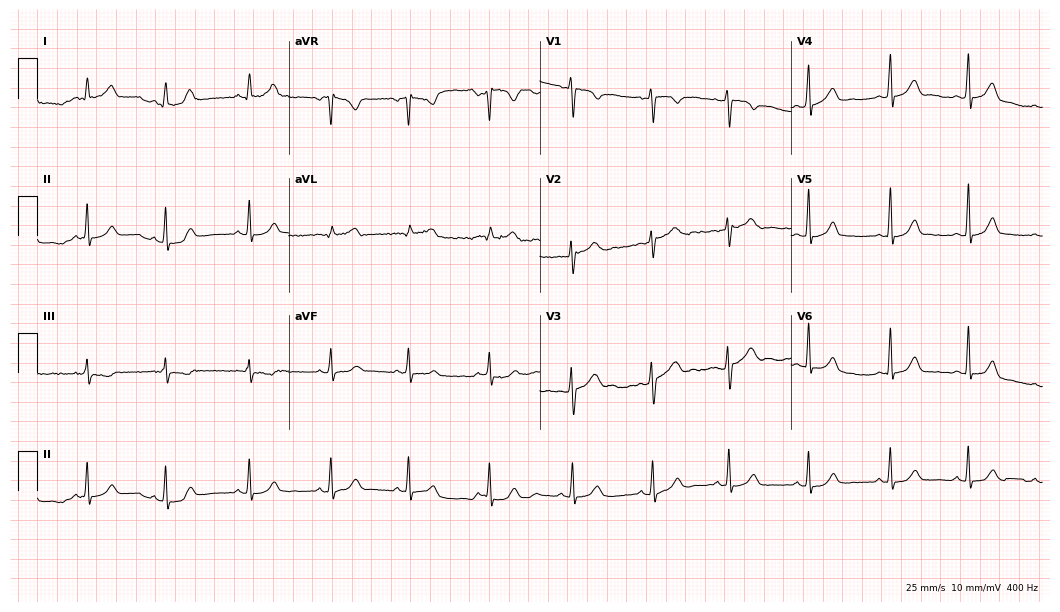
Electrocardiogram (10.2-second recording at 400 Hz), a 21-year-old female patient. Overall reading on record: normal ECG.